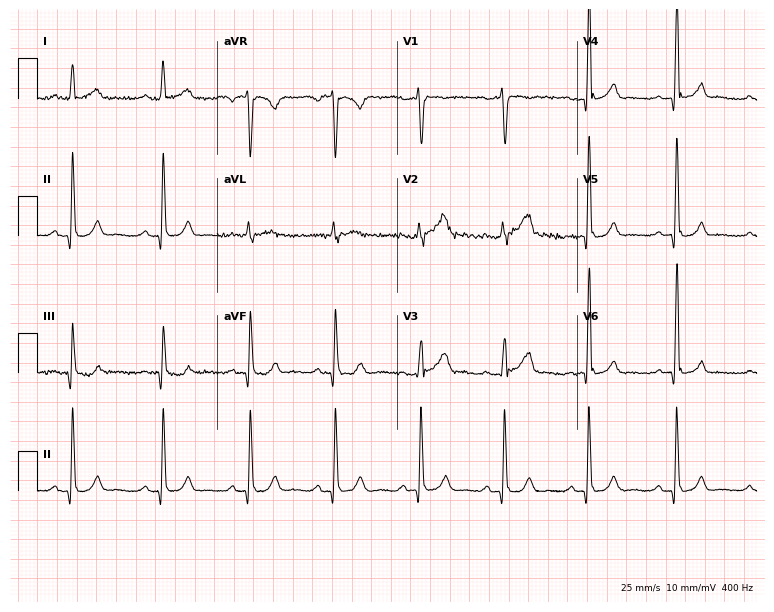
ECG — a male, 27 years old. Labelled as a normal ECG.